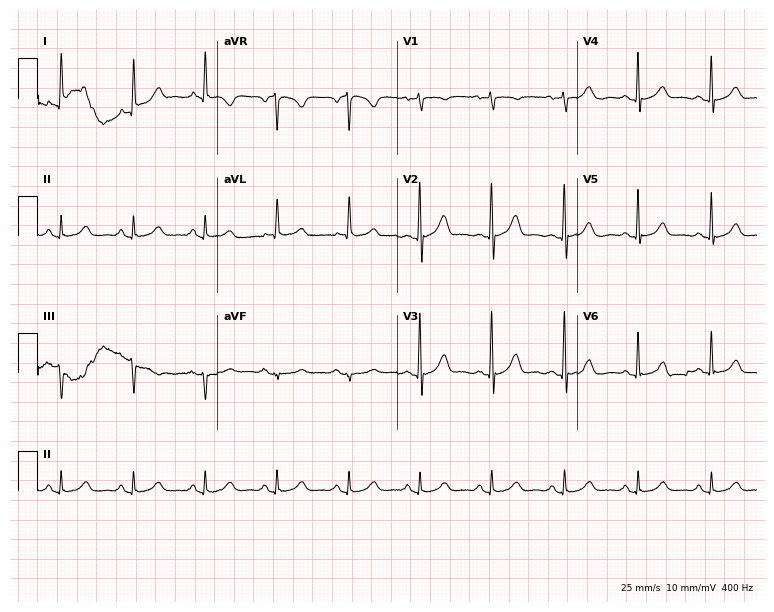
Standard 12-lead ECG recorded from a female patient, 72 years old. Read as a normal ECG.